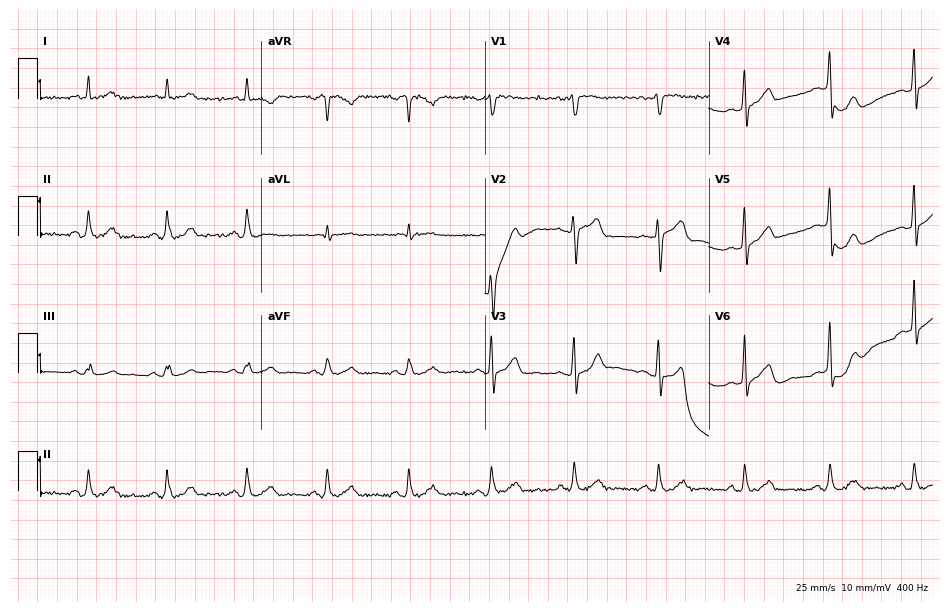
12-lead ECG from a 54-year-old male patient (9.1-second recording at 400 Hz). Recorded interpretation: within normal limits.